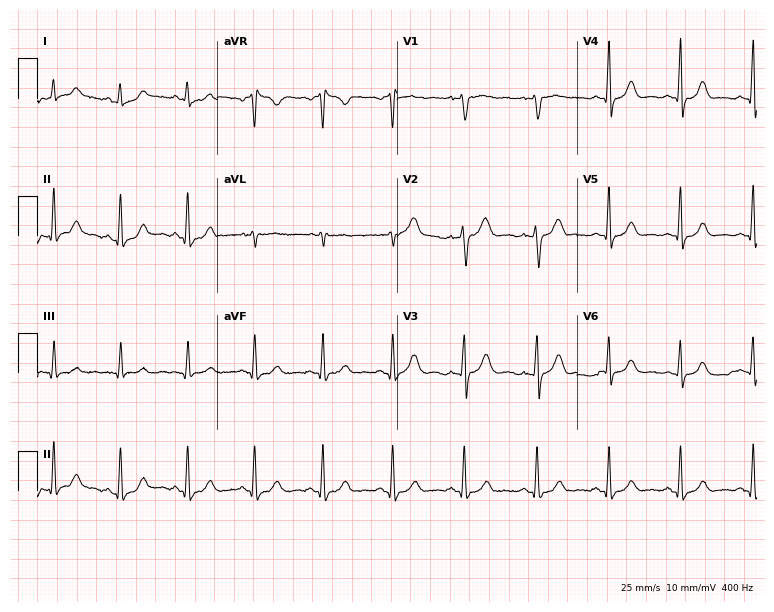
ECG — a 45-year-old female patient. Screened for six findings — first-degree AV block, right bundle branch block, left bundle branch block, sinus bradycardia, atrial fibrillation, sinus tachycardia — none is recorded. Only these six findings were labelled.